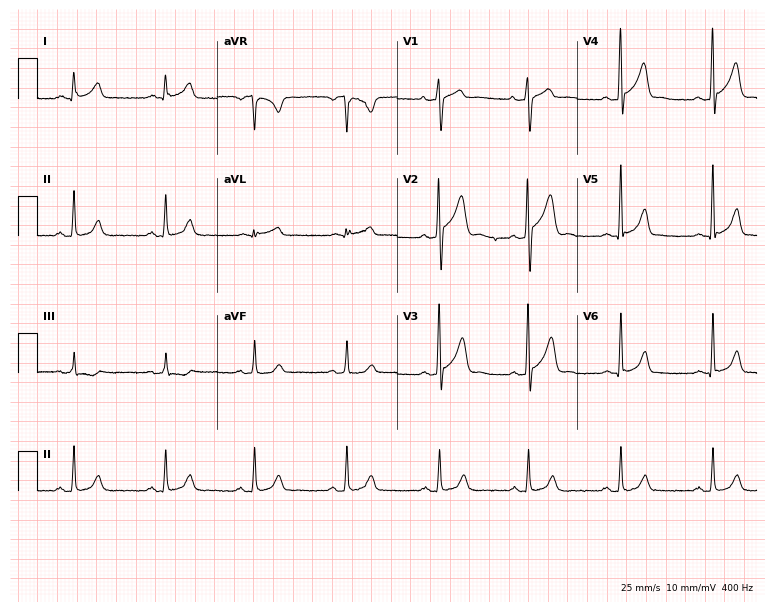
Electrocardiogram (7.3-second recording at 400 Hz), a male patient, 38 years old. Of the six screened findings (first-degree AV block, right bundle branch block, left bundle branch block, sinus bradycardia, atrial fibrillation, sinus tachycardia), none is recorded.